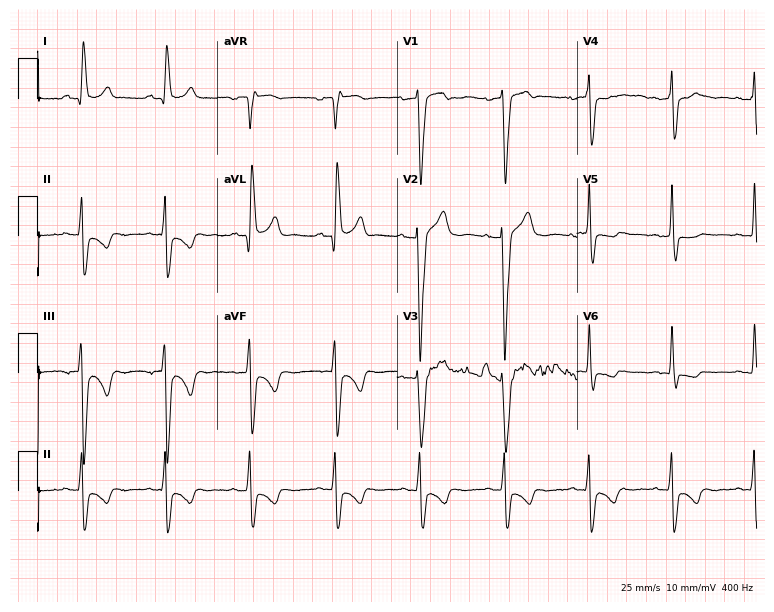
Electrocardiogram (7.3-second recording at 400 Hz), a male, 50 years old. Interpretation includes left bundle branch block.